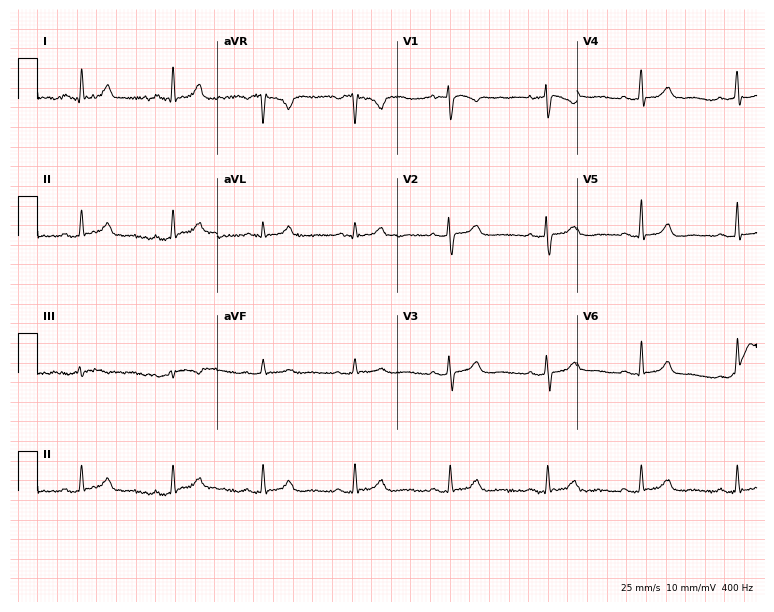
ECG — a female, 51 years old. Labelled as a normal ECG.